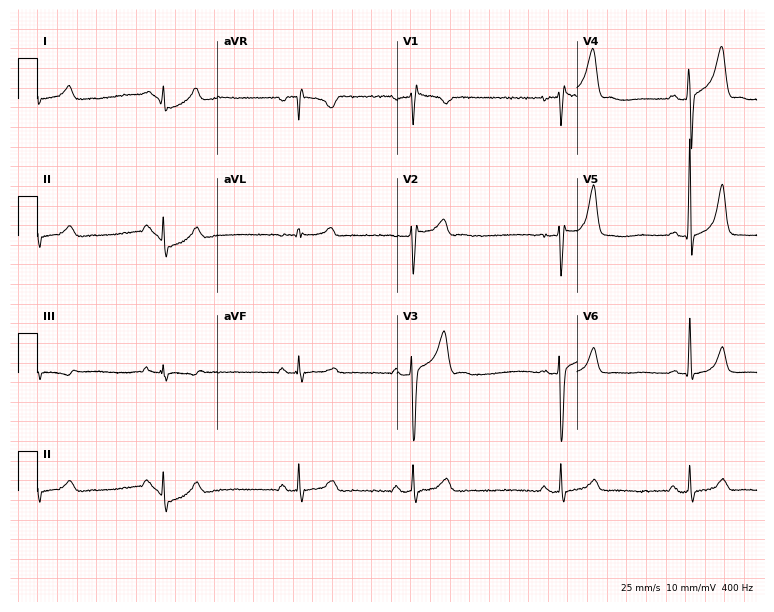
12-lead ECG from a 39-year-old man. Findings include sinus bradycardia (a sinus rate of 50 beats per minute or less).